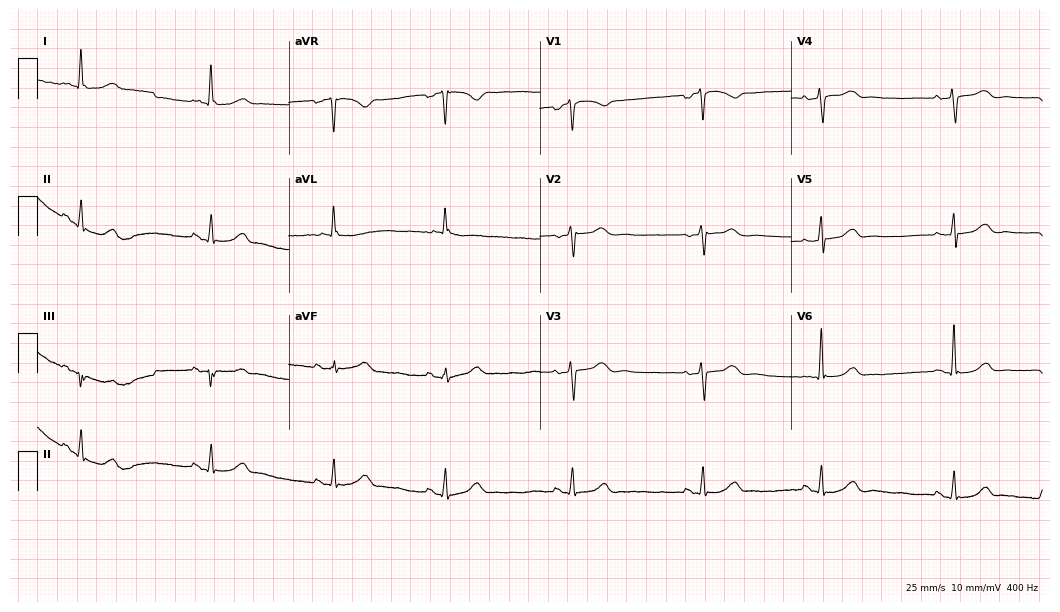
Resting 12-lead electrocardiogram (10.2-second recording at 400 Hz). Patient: a female, 79 years old. None of these six findings is recorded: first-degree AV block, right bundle branch block, left bundle branch block, sinus bradycardia, atrial fibrillation, sinus tachycardia. Only these six findings were labelled.